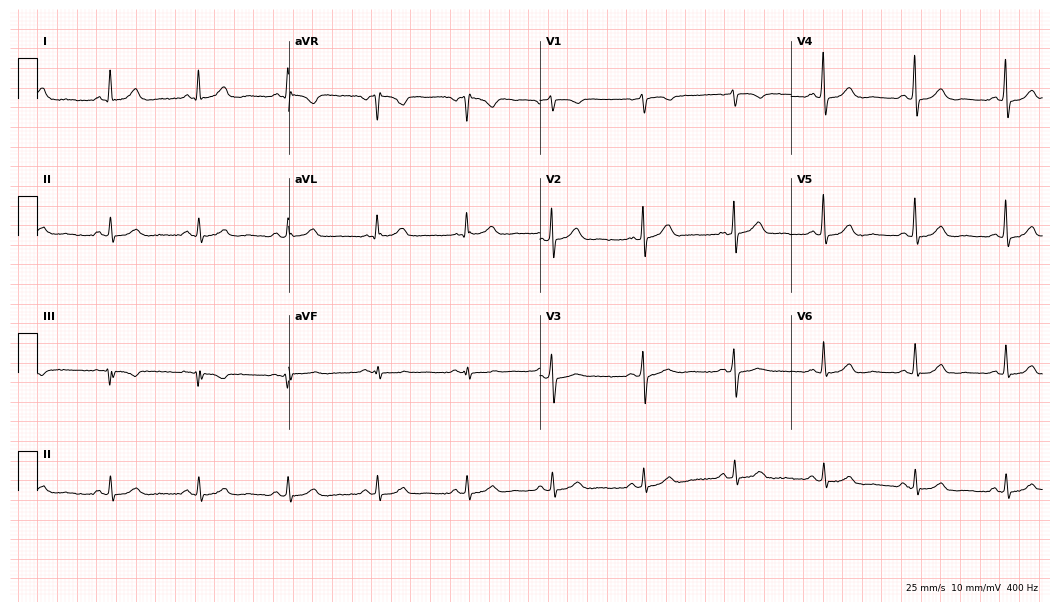
Electrocardiogram, a 67-year-old male patient. Overall reading on record: normal ECG.